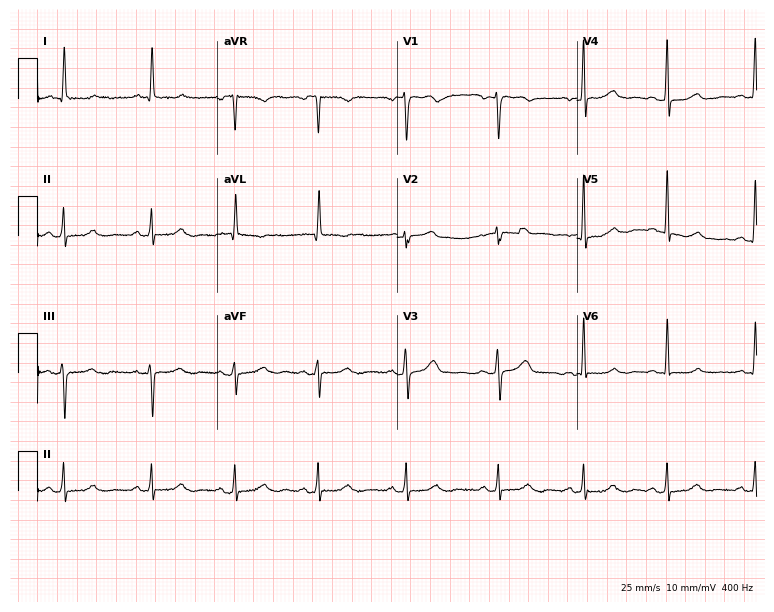
Standard 12-lead ECG recorded from a woman, 60 years old (7.3-second recording at 400 Hz). Read as a normal ECG.